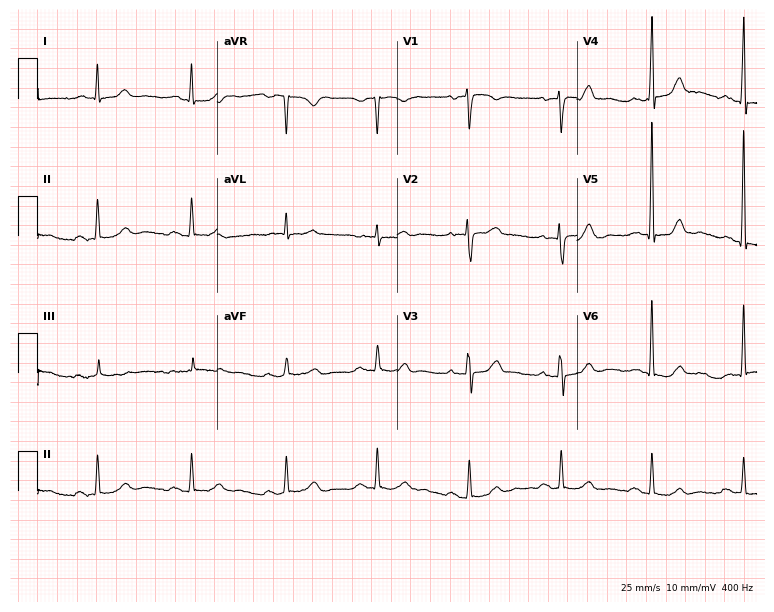
ECG (7.3-second recording at 400 Hz) — a female, 75 years old. Labelled as a normal ECG.